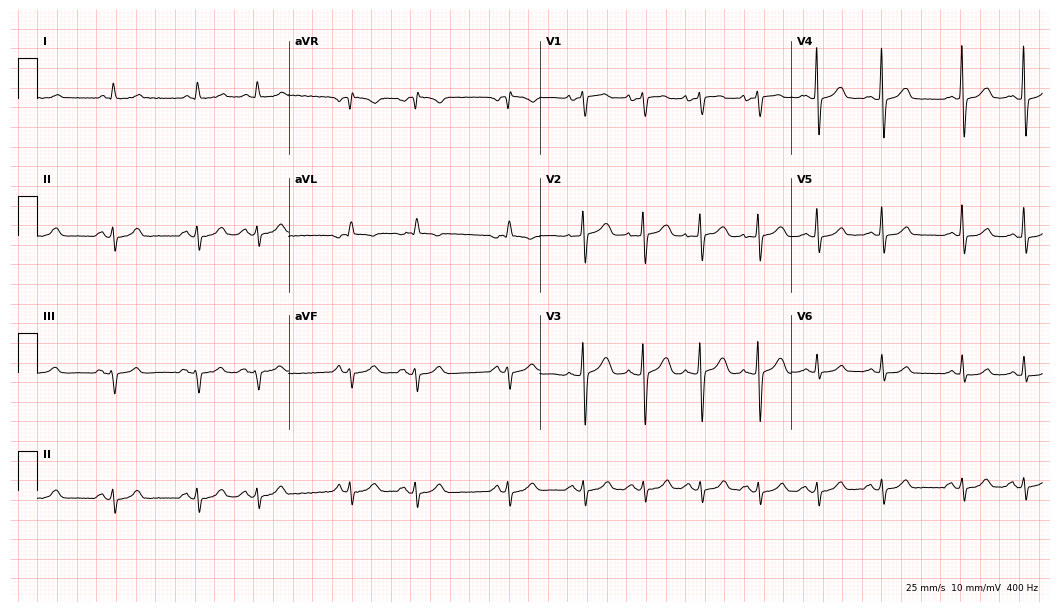
ECG — a 71-year-old woman. Screened for six findings — first-degree AV block, right bundle branch block, left bundle branch block, sinus bradycardia, atrial fibrillation, sinus tachycardia — none is recorded.